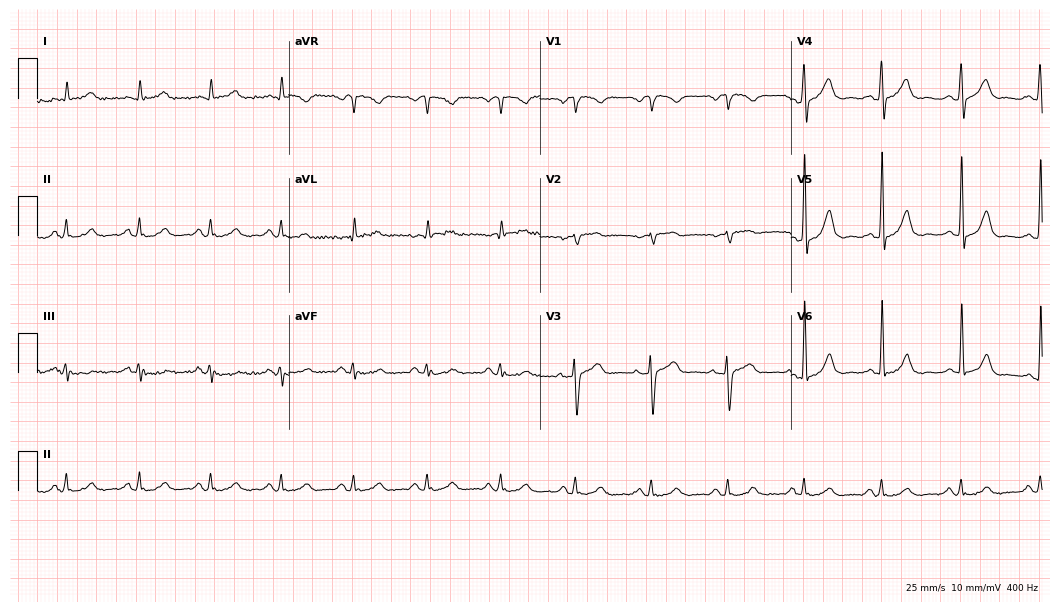
Standard 12-lead ECG recorded from a 73-year-old man (10.2-second recording at 400 Hz). Read as a normal ECG.